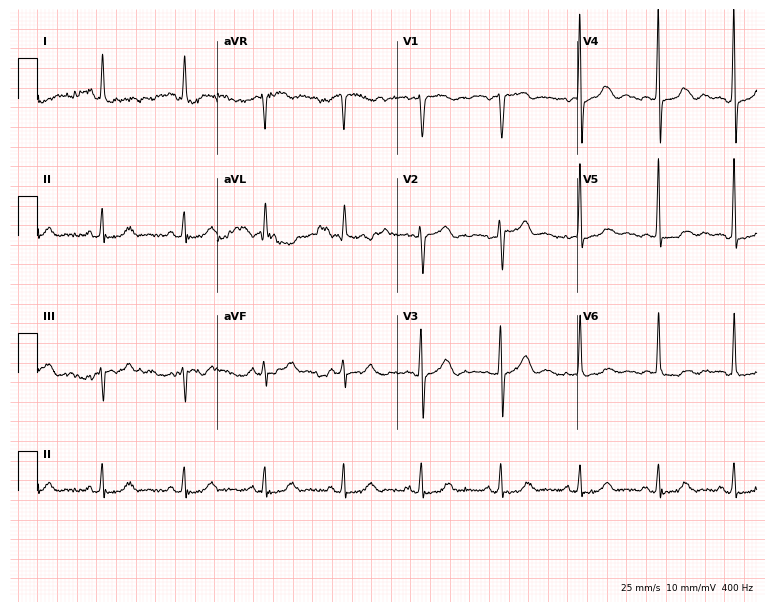
Resting 12-lead electrocardiogram. Patient: an 83-year-old female. None of these six findings is recorded: first-degree AV block, right bundle branch block, left bundle branch block, sinus bradycardia, atrial fibrillation, sinus tachycardia.